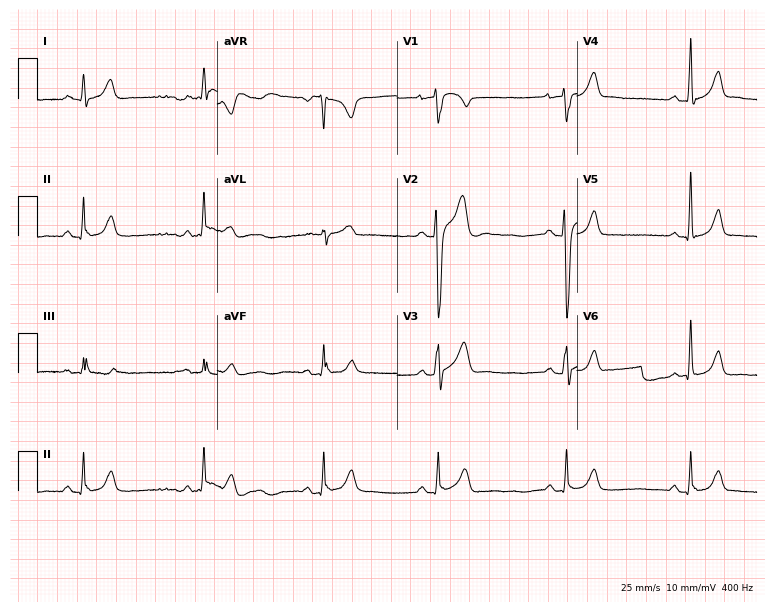
12-lead ECG from a 28-year-old man. Shows sinus bradycardia (a sinus rate of 50 beats per minute or less).